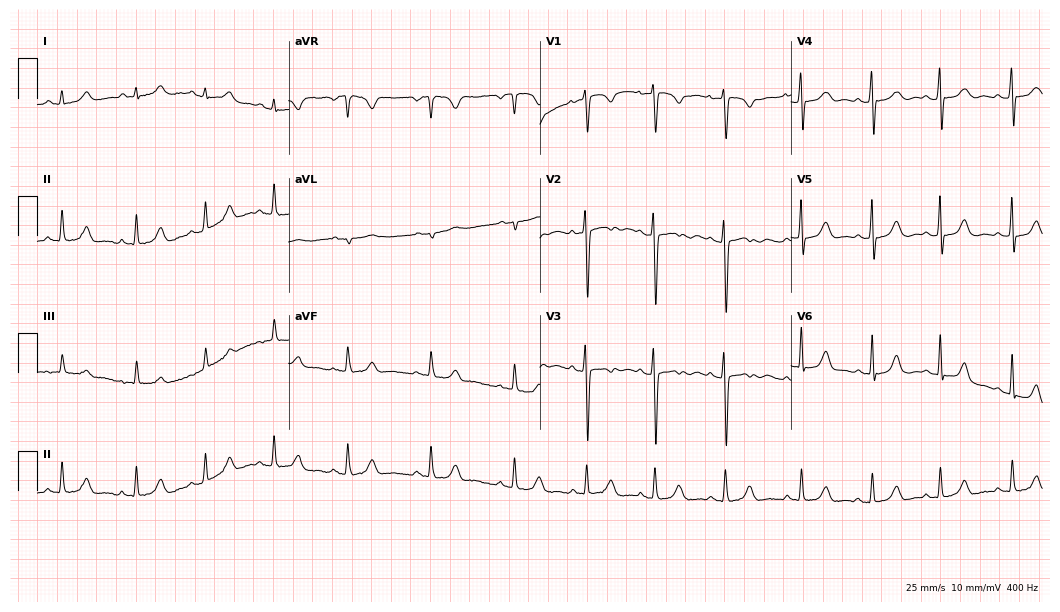
ECG — a female patient, 22 years old. Screened for six findings — first-degree AV block, right bundle branch block, left bundle branch block, sinus bradycardia, atrial fibrillation, sinus tachycardia — none is recorded.